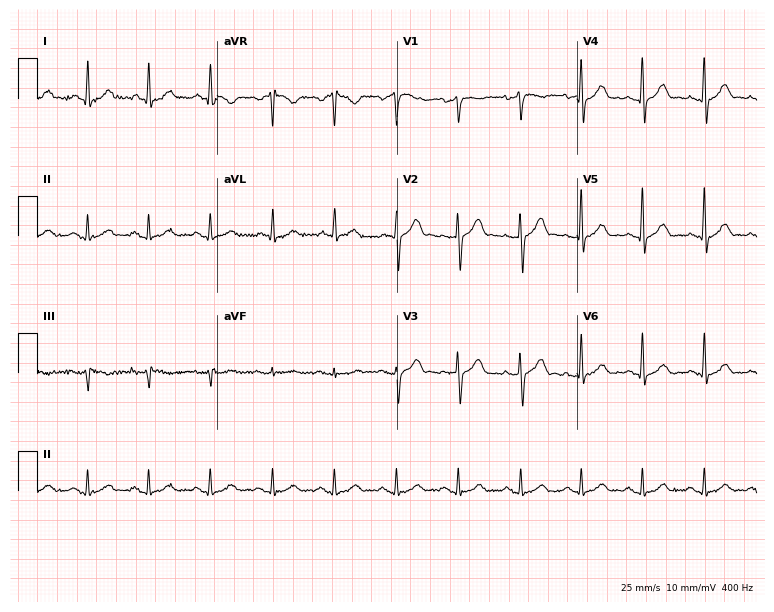
Standard 12-lead ECG recorded from a 57-year-old man (7.3-second recording at 400 Hz). Read as a normal ECG.